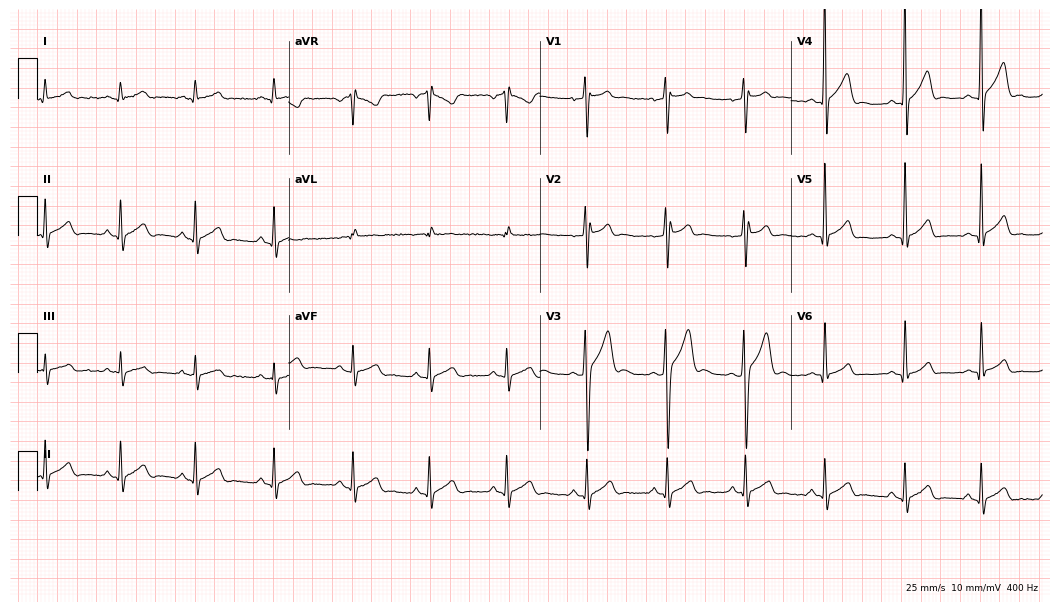
Electrocardiogram, a 17-year-old male patient. Overall reading on record: normal ECG.